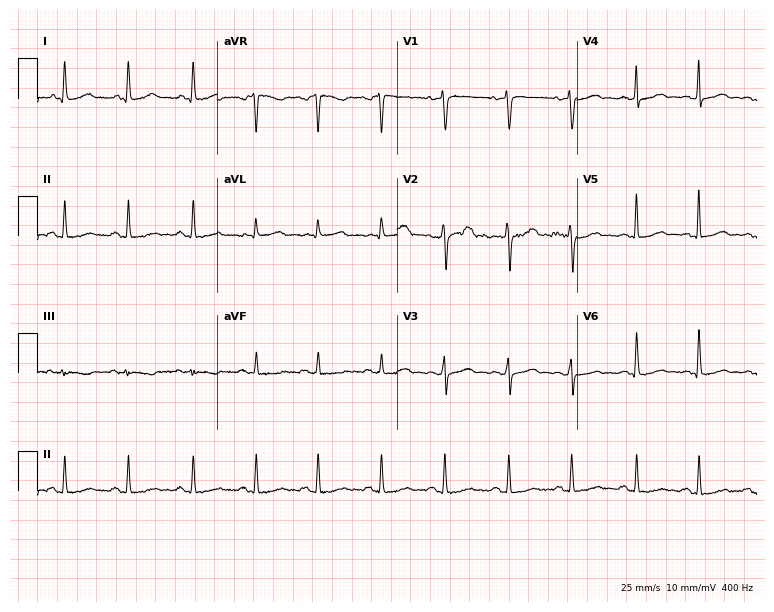
ECG (7.3-second recording at 400 Hz) — a female, 40 years old. Screened for six findings — first-degree AV block, right bundle branch block, left bundle branch block, sinus bradycardia, atrial fibrillation, sinus tachycardia — none is recorded. Only these six findings were labelled.